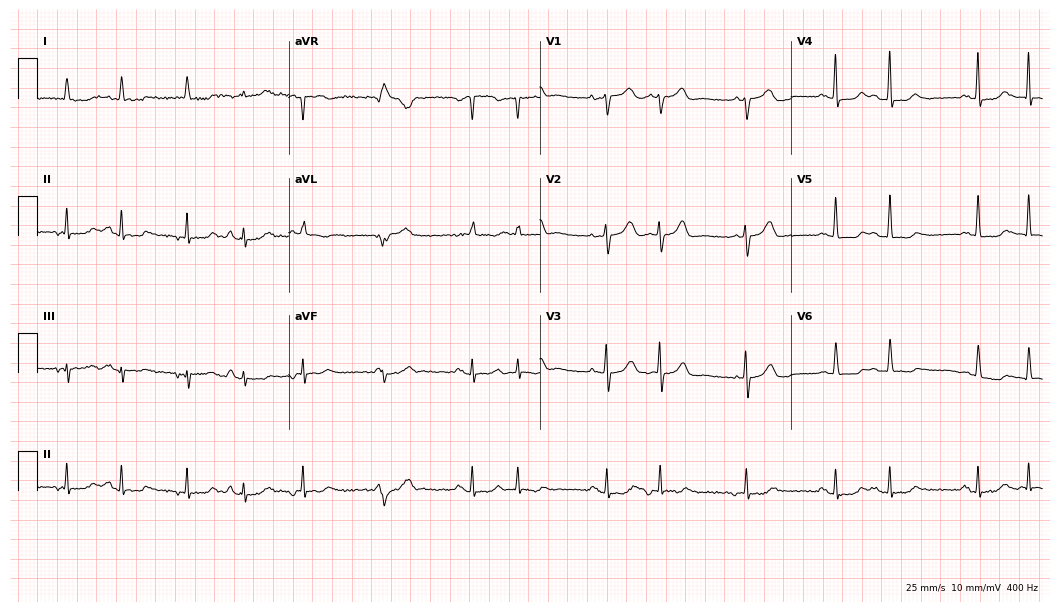
12-lead ECG from a female, 74 years old. Screened for six findings — first-degree AV block, right bundle branch block (RBBB), left bundle branch block (LBBB), sinus bradycardia, atrial fibrillation (AF), sinus tachycardia — none is recorded.